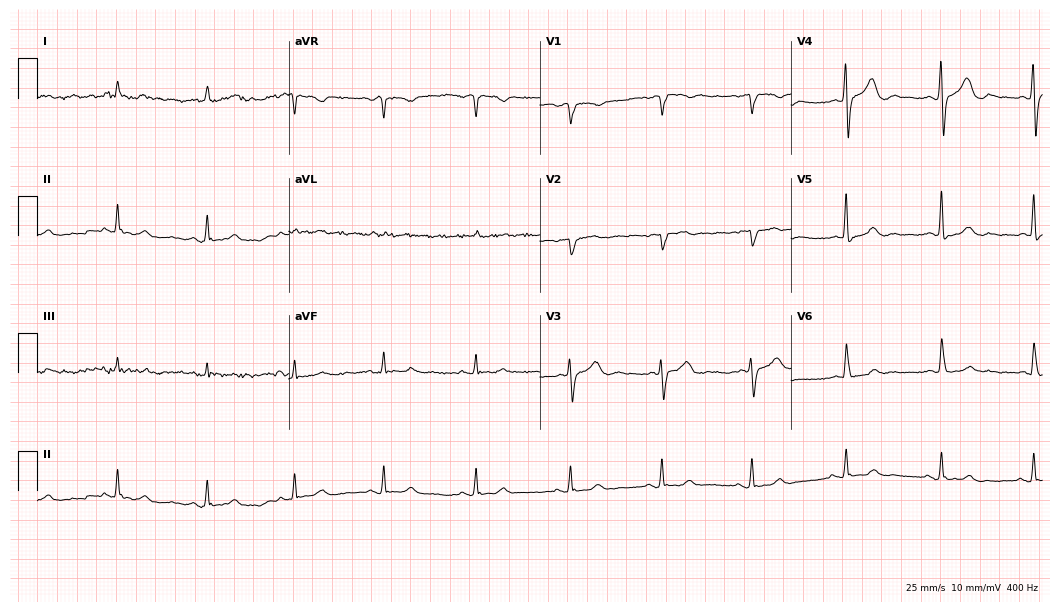
ECG — a female patient, 54 years old. Screened for six findings — first-degree AV block, right bundle branch block (RBBB), left bundle branch block (LBBB), sinus bradycardia, atrial fibrillation (AF), sinus tachycardia — none is recorded.